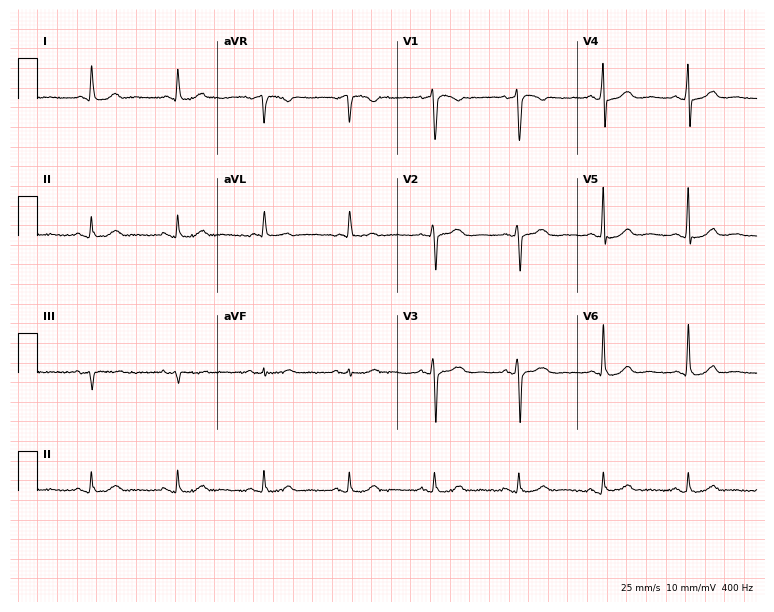
ECG (7.3-second recording at 400 Hz) — a 63-year-old man. Labelled as a normal ECG.